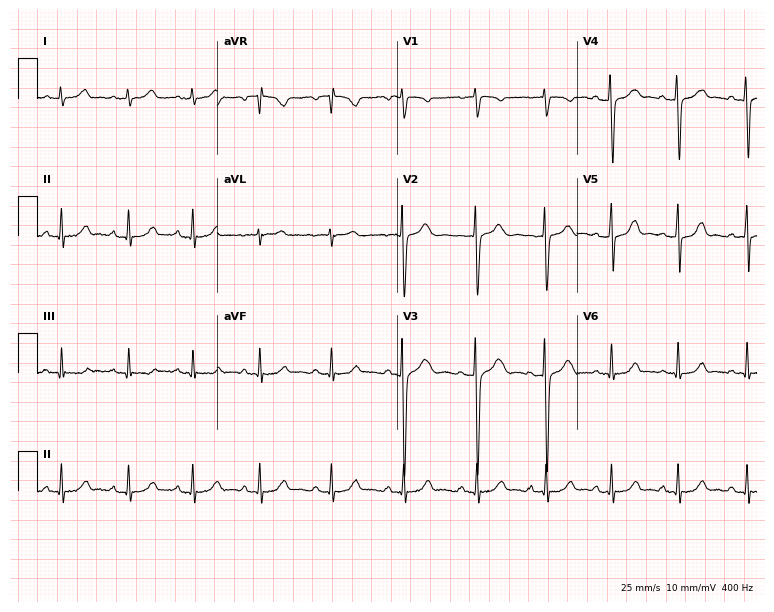
12-lead ECG from a 22-year-old female (7.3-second recording at 400 Hz). No first-degree AV block, right bundle branch block, left bundle branch block, sinus bradycardia, atrial fibrillation or sinus tachycardia recorded for this tracing.